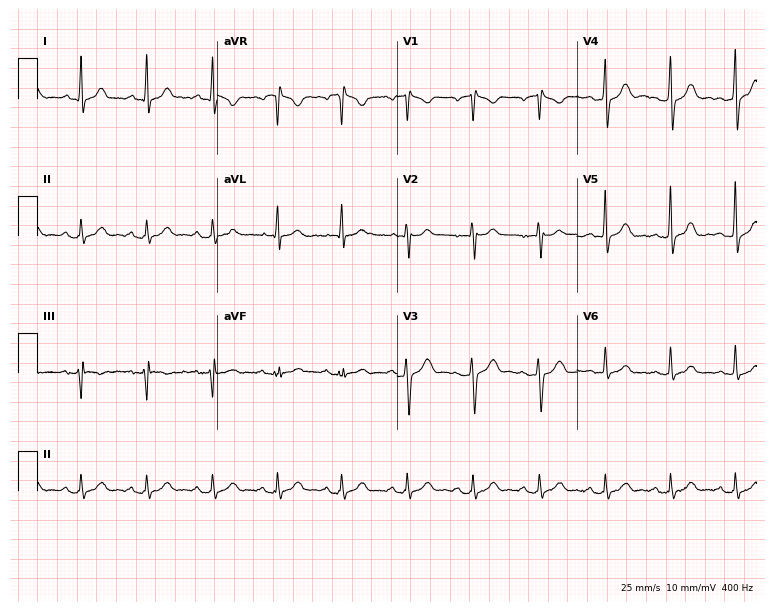
Electrocardiogram (7.3-second recording at 400 Hz), a male, 45 years old. Overall reading on record: normal ECG.